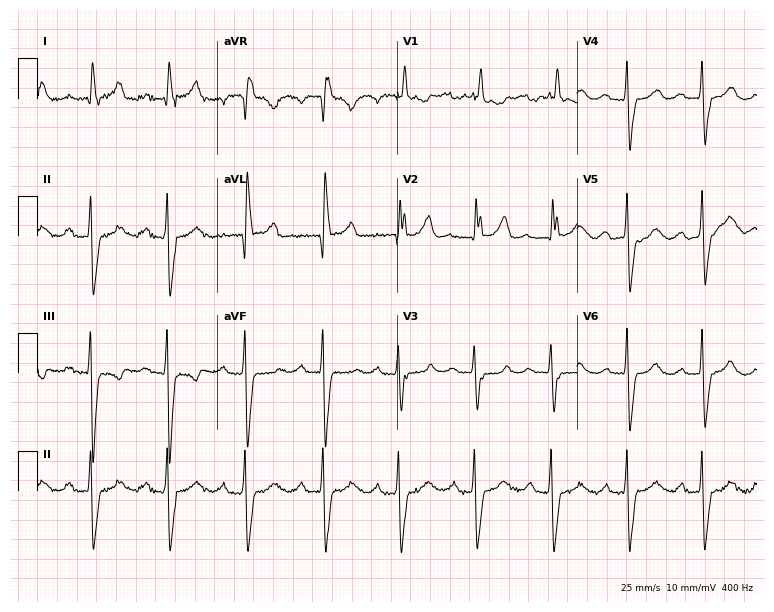
ECG (7.3-second recording at 400 Hz) — a 76-year-old female. Findings include first-degree AV block, right bundle branch block.